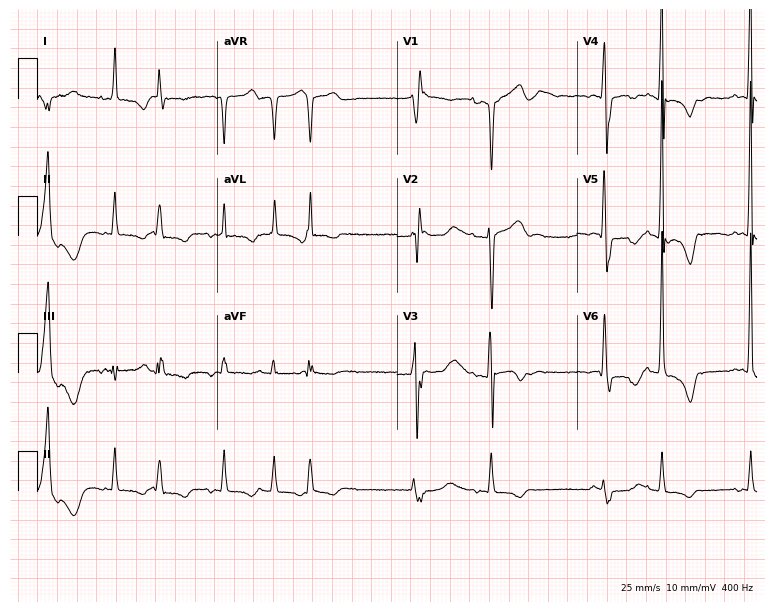
12-lead ECG from a 72-year-old male (7.3-second recording at 400 Hz). No first-degree AV block, right bundle branch block (RBBB), left bundle branch block (LBBB), sinus bradycardia, atrial fibrillation (AF) or sinus tachycardia recorded for this tracing.